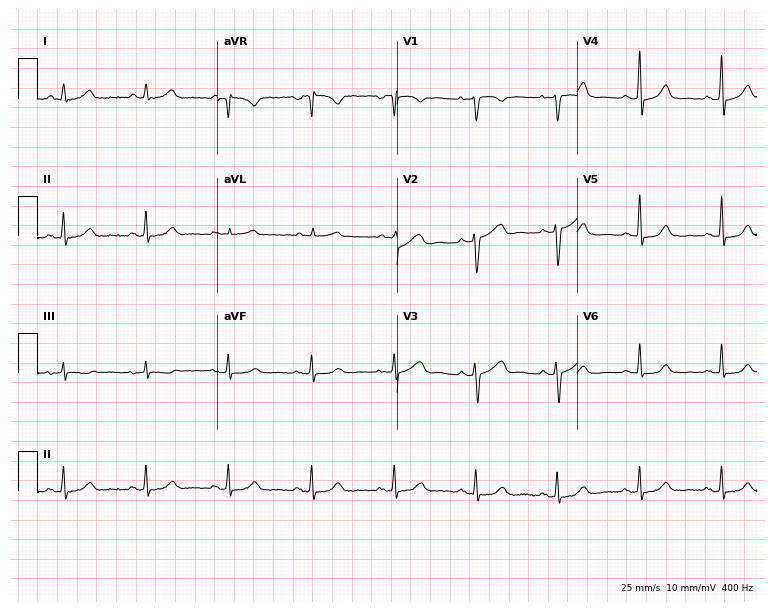
12-lead ECG from a female patient, 55 years old. No first-degree AV block, right bundle branch block (RBBB), left bundle branch block (LBBB), sinus bradycardia, atrial fibrillation (AF) or sinus tachycardia recorded for this tracing.